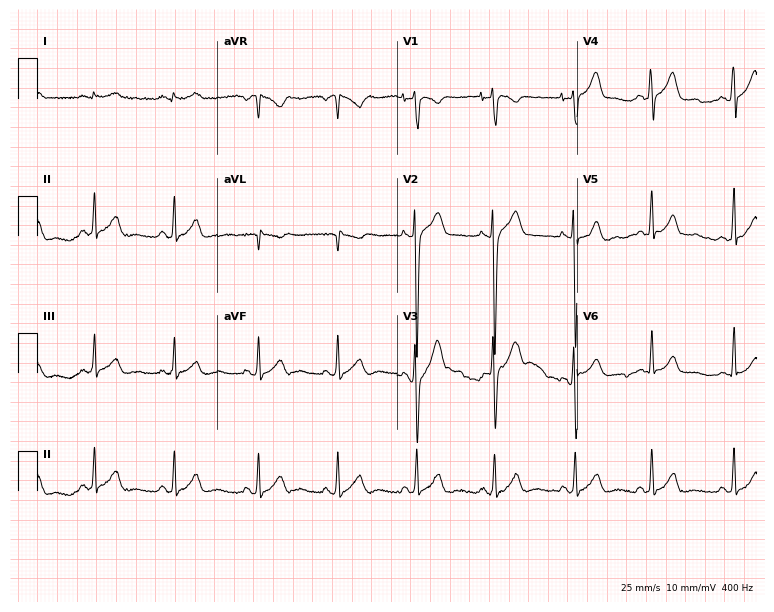
ECG (7.3-second recording at 400 Hz) — a 26-year-old man. Labelled as a normal ECG.